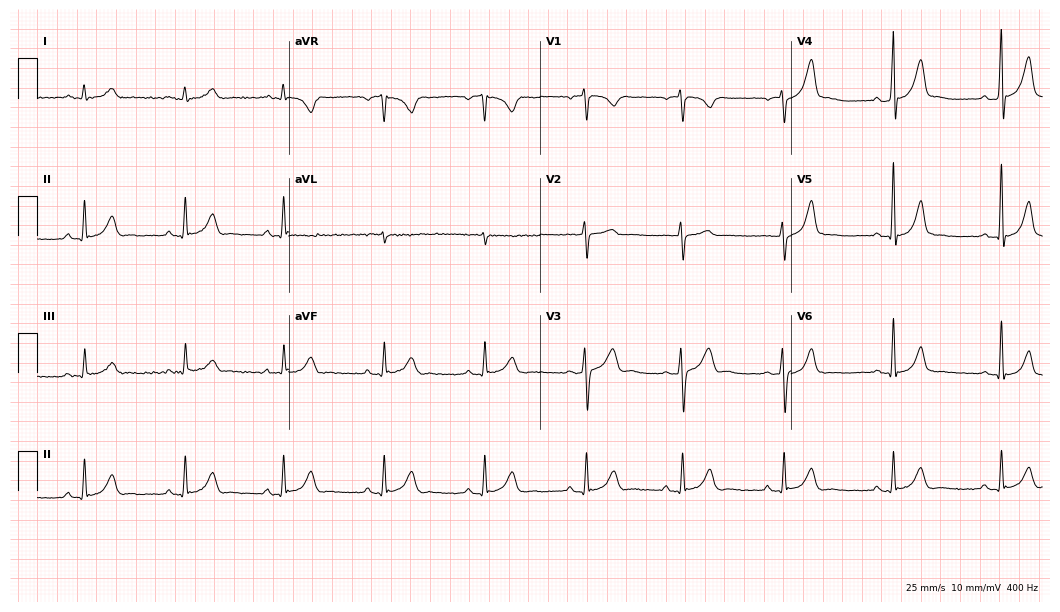
Standard 12-lead ECG recorded from a 33-year-old male (10.2-second recording at 400 Hz). None of these six findings is recorded: first-degree AV block, right bundle branch block, left bundle branch block, sinus bradycardia, atrial fibrillation, sinus tachycardia.